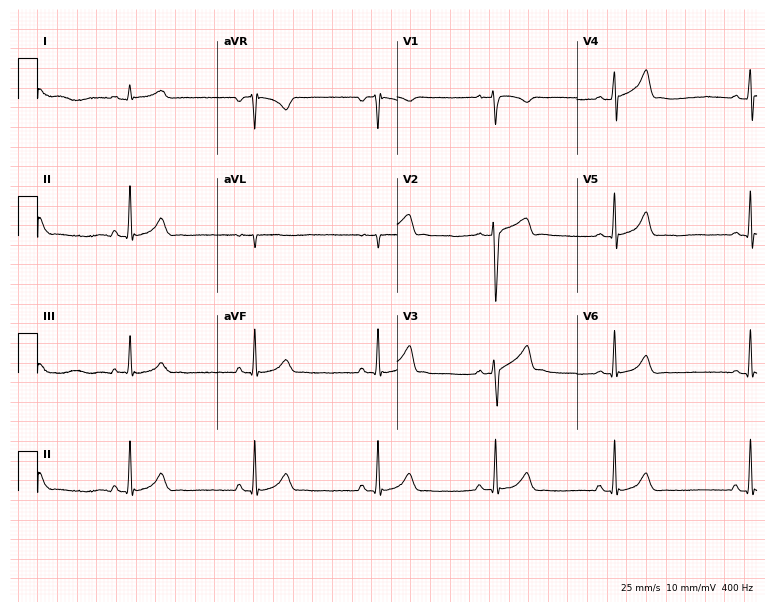
Resting 12-lead electrocardiogram. Patient: a 28-year-old male. The tracing shows sinus bradycardia (a sinus rate of 50 beats per minute or less).